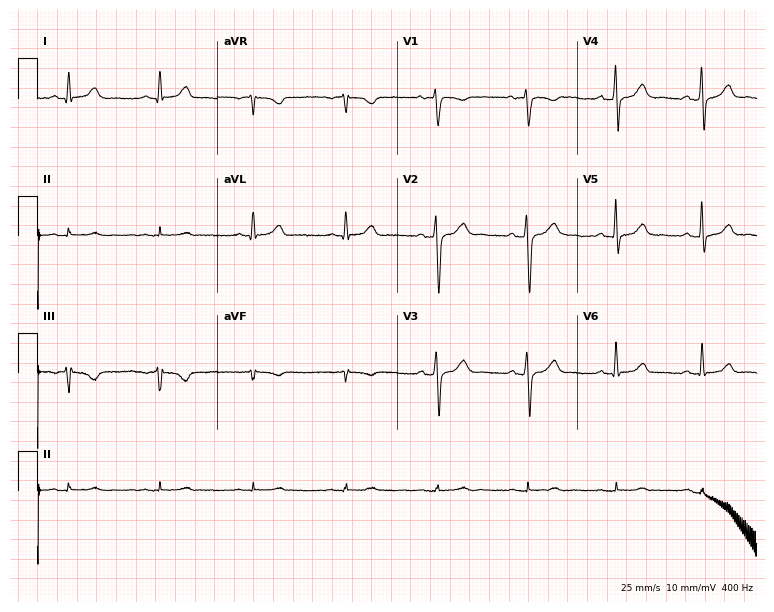
Resting 12-lead electrocardiogram (7.3-second recording at 400 Hz). Patient: a male, 42 years old. Read as a normal ECG.